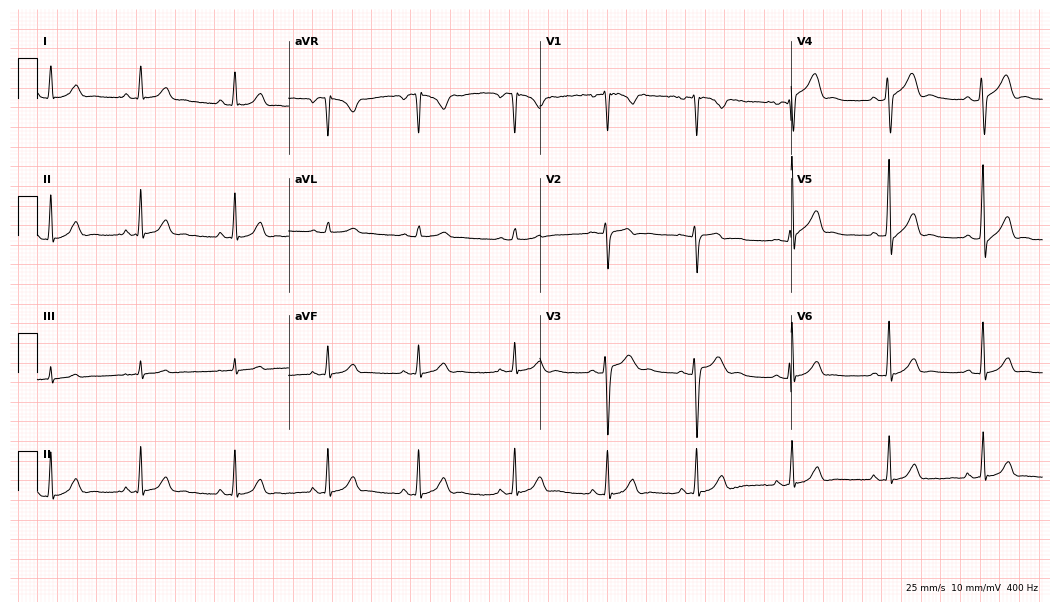
Electrocardiogram (10.2-second recording at 400 Hz), an 18-year-old man. Overall reading on record: normal ECG.